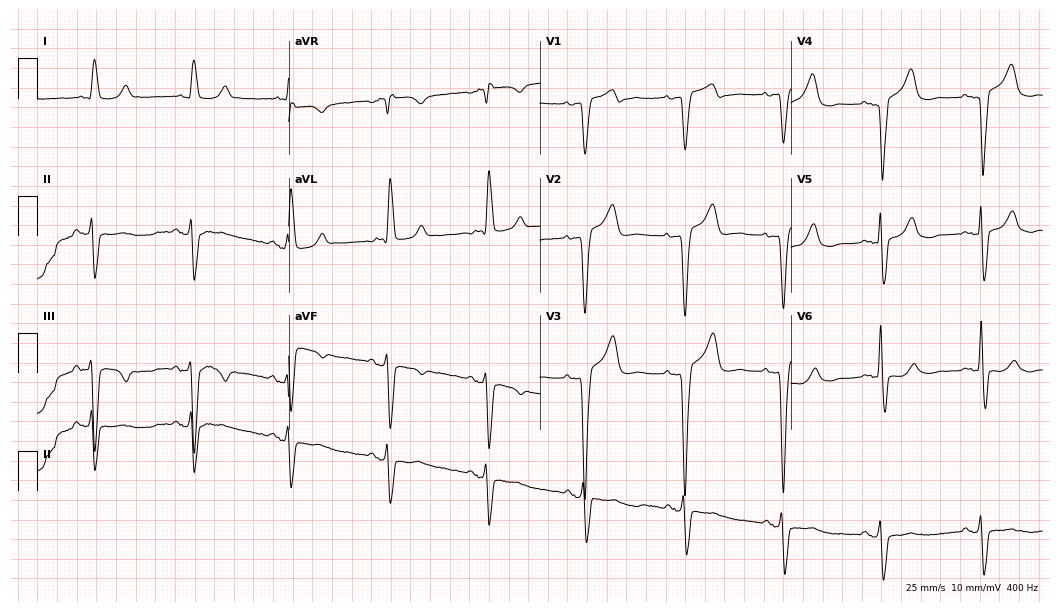
12-lead ECG (10.2-second recording at 400 Hz) from a male patient, 79 years old. Findings include left bundle branch block.